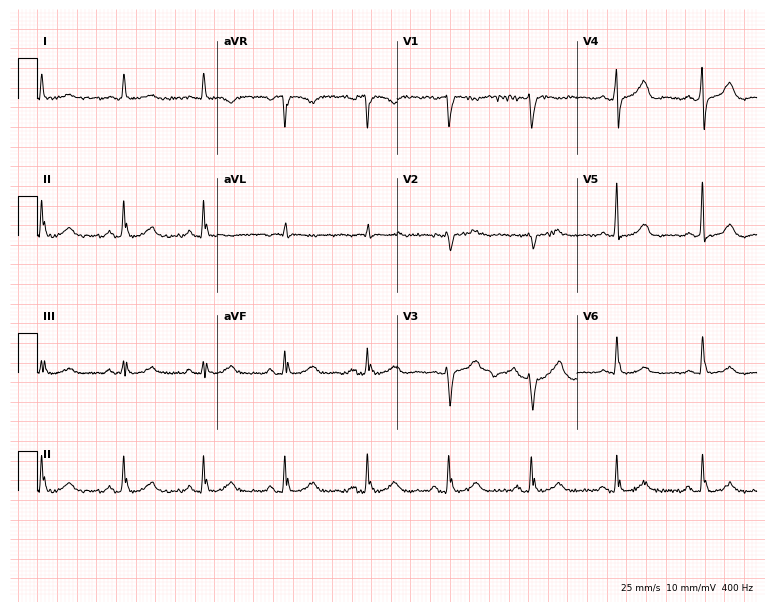
Standard 12-lead ECG recorded from a female patient, 64 years old. Read as a normal ECG.